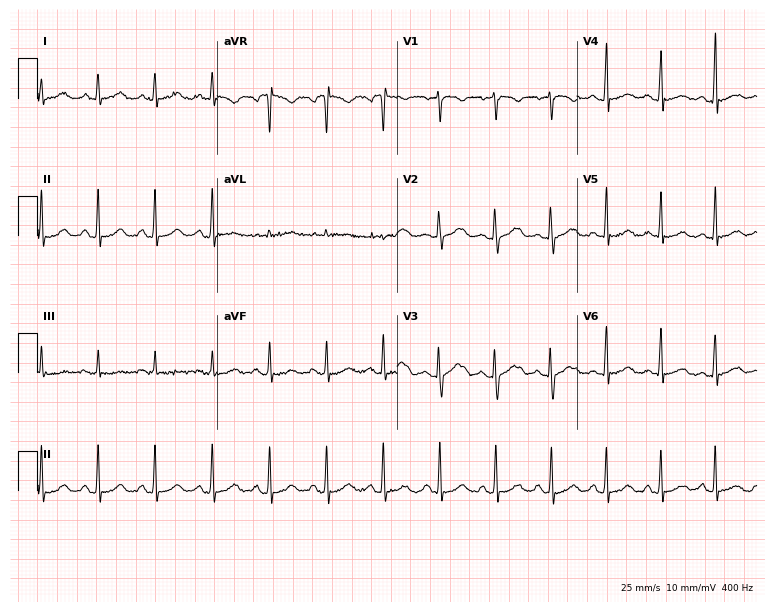
ECG — a 23-year-old woman. Findings include sinus tachycardia (a sinus rate of 100 beats per minute or more).